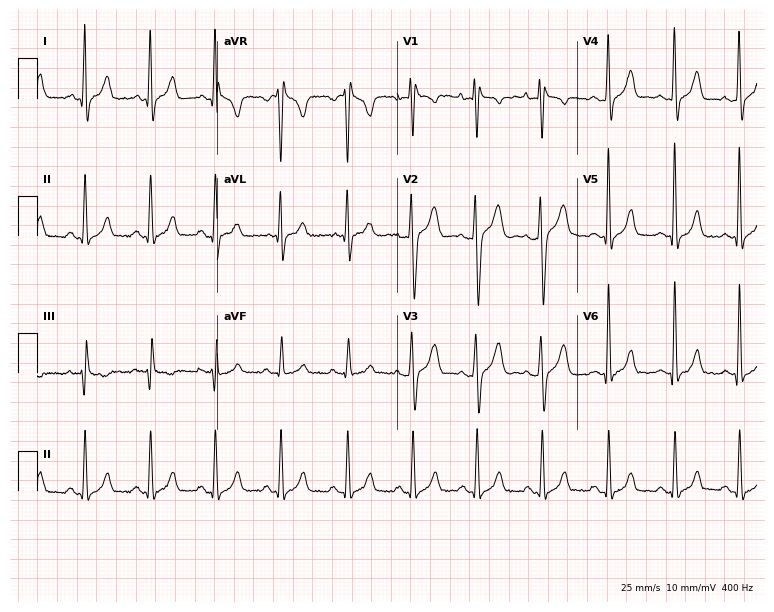
ECG (7.3-second recording at 400 Hz) — a male patient, 28 years old. Screened for six findings — first-degree AV block, right bundle branch block, left bundle branch block, sinus bradycardia, atrial fibrillation, sinus tachycardia — none is recorded.